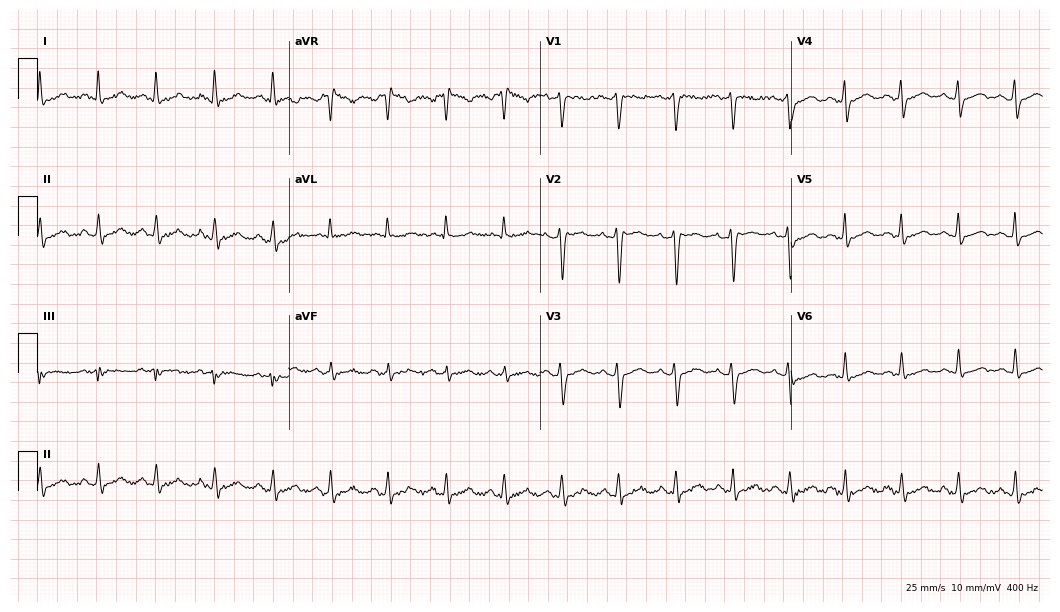
Resting 12-lead electrocardiogram (10.2-second recording at 400 Hz). Patient: a 44-year-old female. The tracing shows sinus tachycardia (a sinus rate of 100 beats per minute or more).